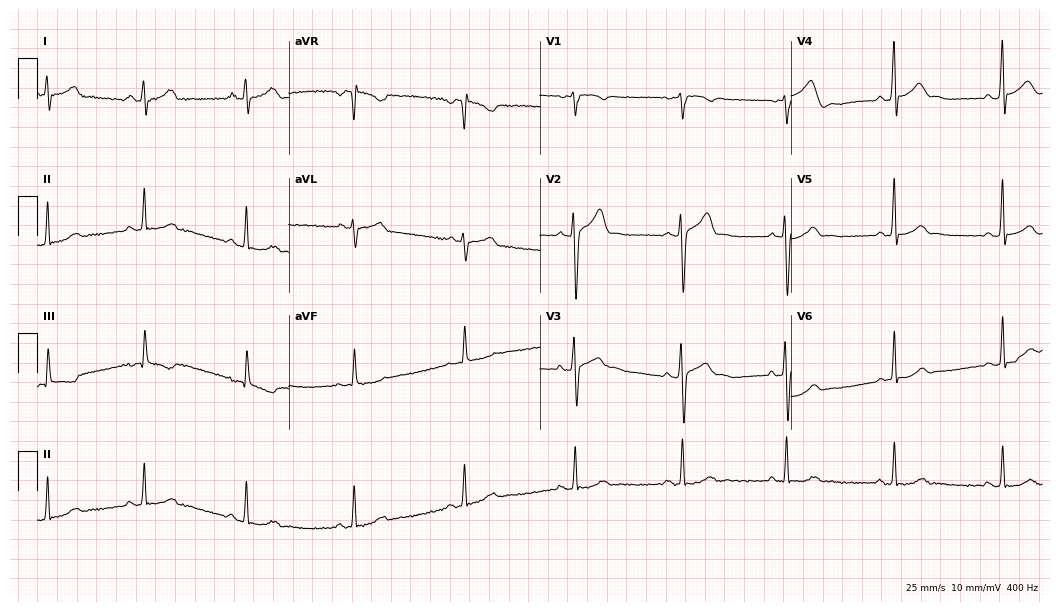
12-lead ECG from a 28-year-old male patient. Recorded interpretation: within normal limits.